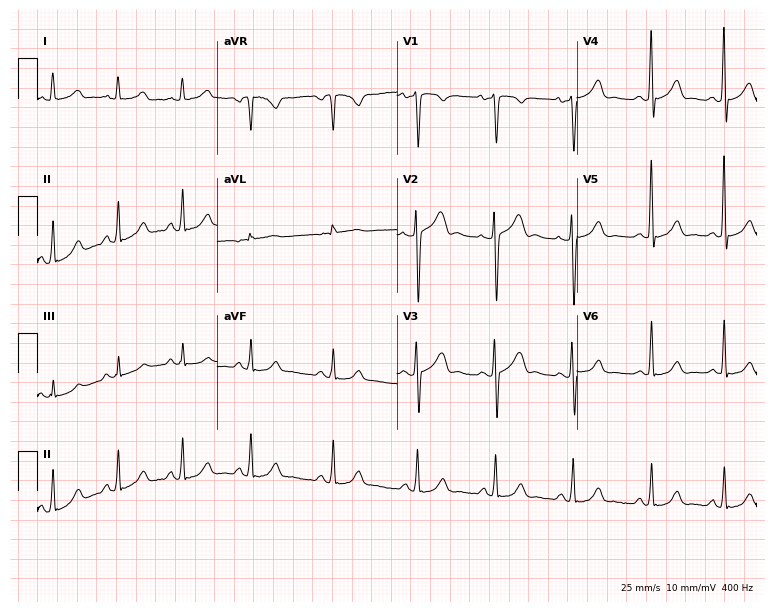
Electrocardiogram (7.3-second recording at 400 Hz), a male patient, 36 years old. Of the six screened findings (first-degree AV block, right bundle branch block (RBBB), left bundle branch block (LBBB), sinus bradycardia, atrial fibrillation (AF), sinus tachycardia), none is recorded. Other findings, if any, are not listed.